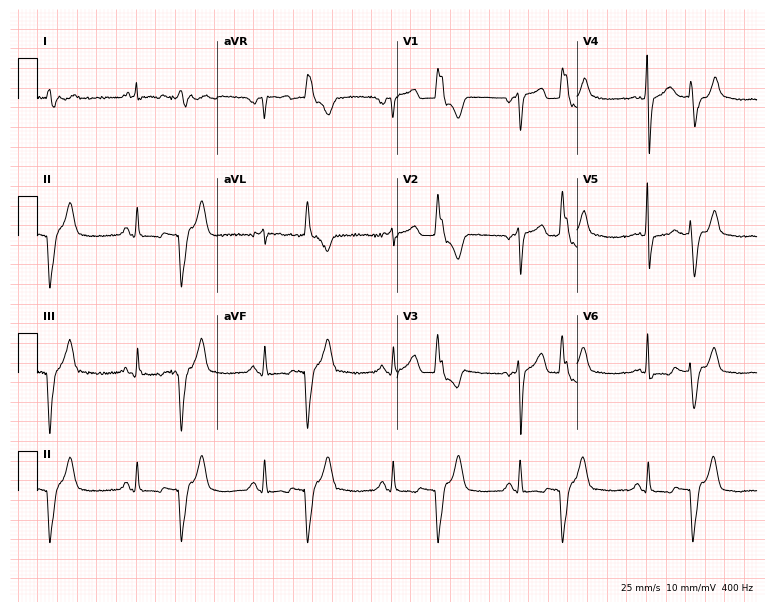
Electrocardiogram (7.3-second recording at 400 Hz), a 57-year-old male patient. Of the six screened findings (first-degree AV block, right bundle branch block, left bundle branch block, sinus bradycardia, atrial fibrillation, sinus tachycardia), none is recorded.